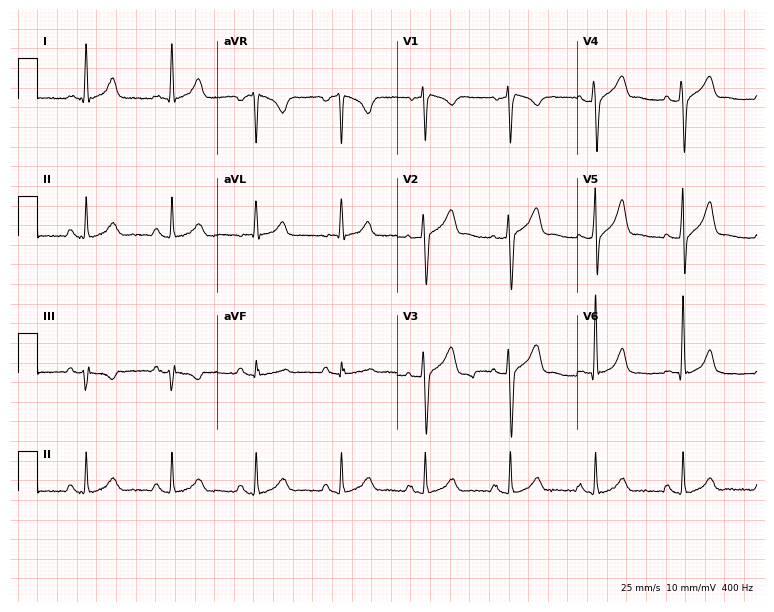
Standard 12-lead ECG recorded from a male, 52 years old. Read as a normal ECG.